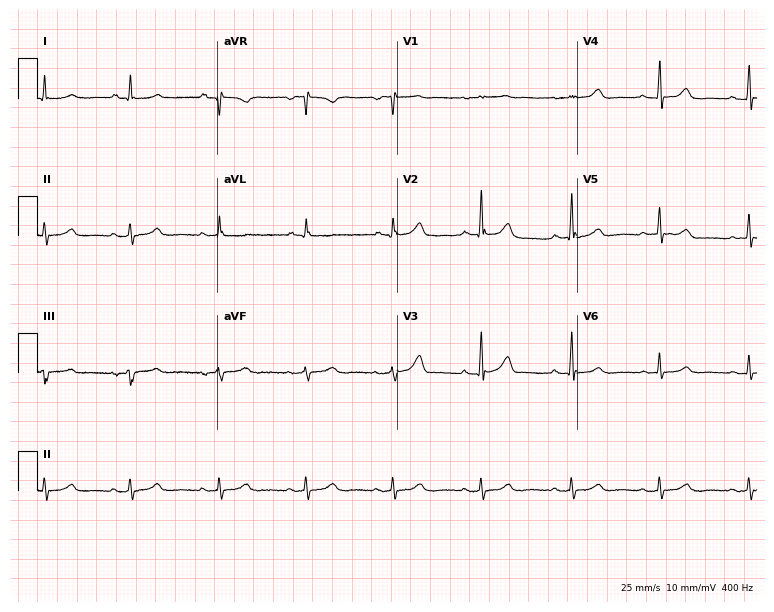
Electrocardiogram, a woman, 55 years old. Overall reading on record: normal ECG.